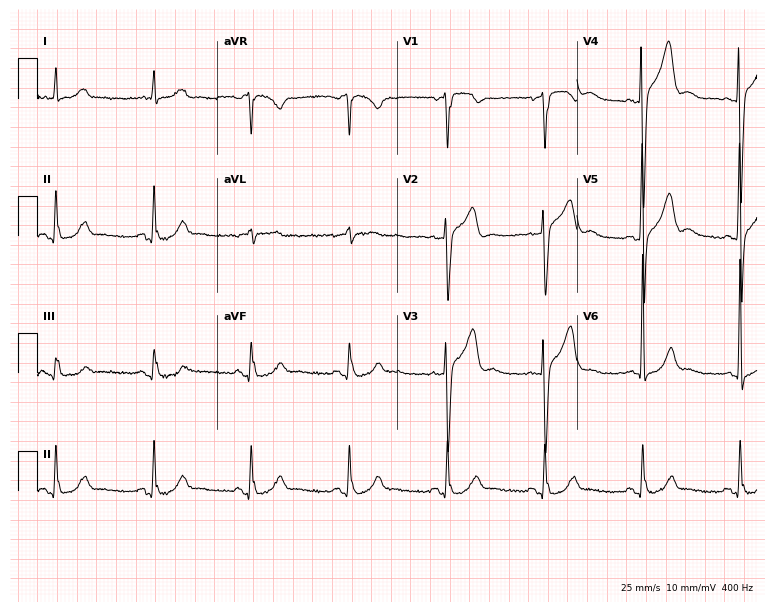
Electrocardiogram, a 75-year-old male patient. Overall reading on record: normal ECG.